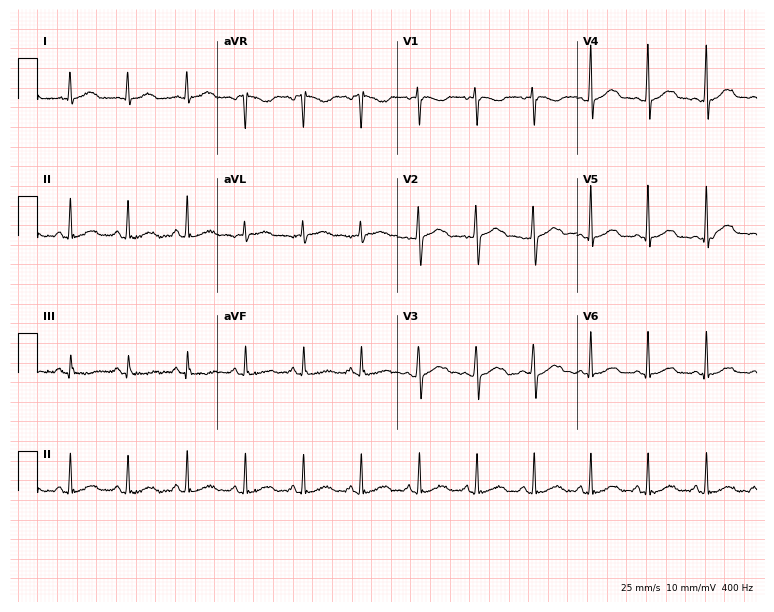
Resting 12-lead electrocardiogram (7.3-second recording at 400 Hz). Patient: a female, 22 years old. The tracing shows sinus tachycardia (a sinus rate of 100 beats per minute or more).